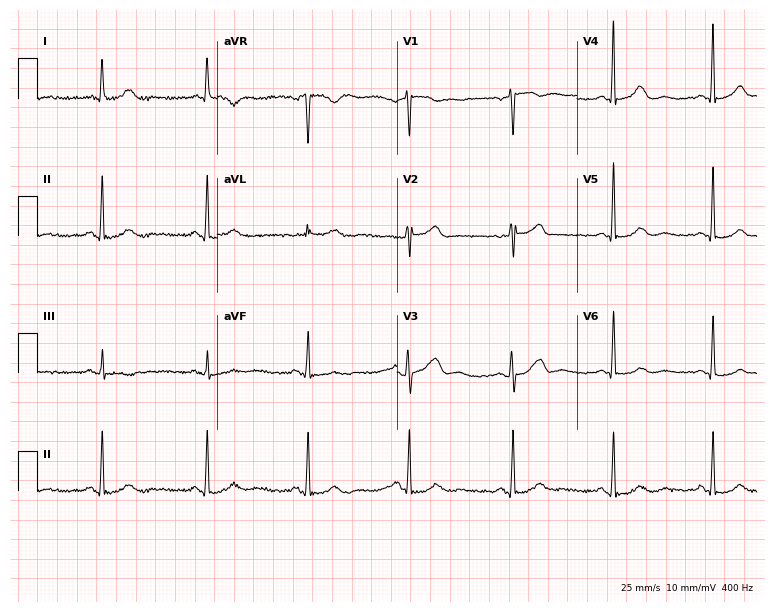
Standard 12-lead ECG recorded from a 57-year-old female patient. None of these six findings is recorded: first-degree AV block, right bundle branch block, left bundle branch block, sinus bradycardia, atrial fibrillation, sinus tachycardia.